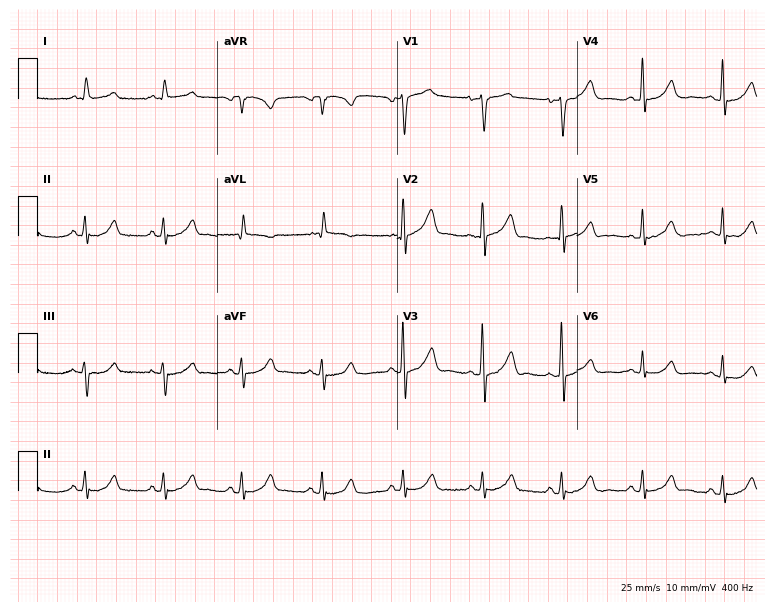
ECG — a 47-year-old female. Labelled as a normal ECG.